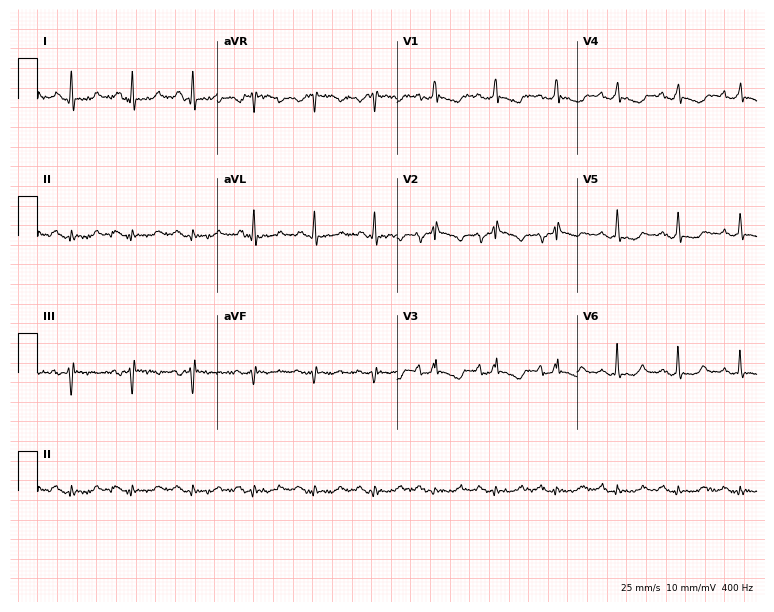
Resting 12-lead electrocardiogram (7.3-second recording at 400 Hz). Patient: a female, 41 years old. None of these six findings is recorded: first-degree AV block, right bundle branch block, left bundle branch block, sinus bradycardia, atrial fibrillation, sinus tachycardia. Only these six findings were labelled.